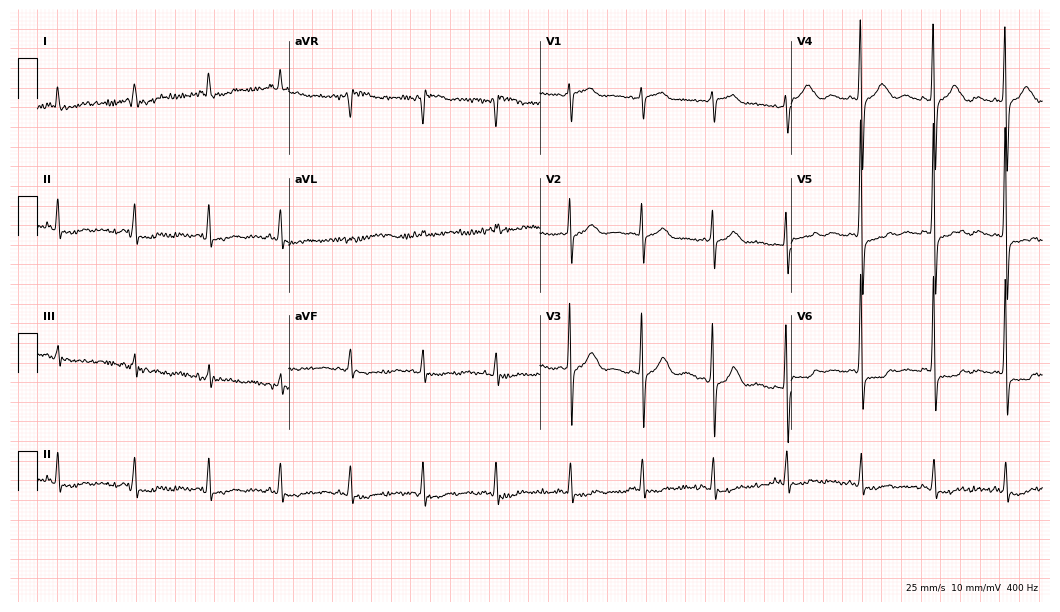
Standard 12-lead ECG recorded from a female patient, 79 years old. None of these six findings is recorded: first-degree AV block, right bundle branch block, left bundle branch block, sinus bradycardia, atrial fibrillation, sinus tachycardia. Other findings, if any, are not listed.